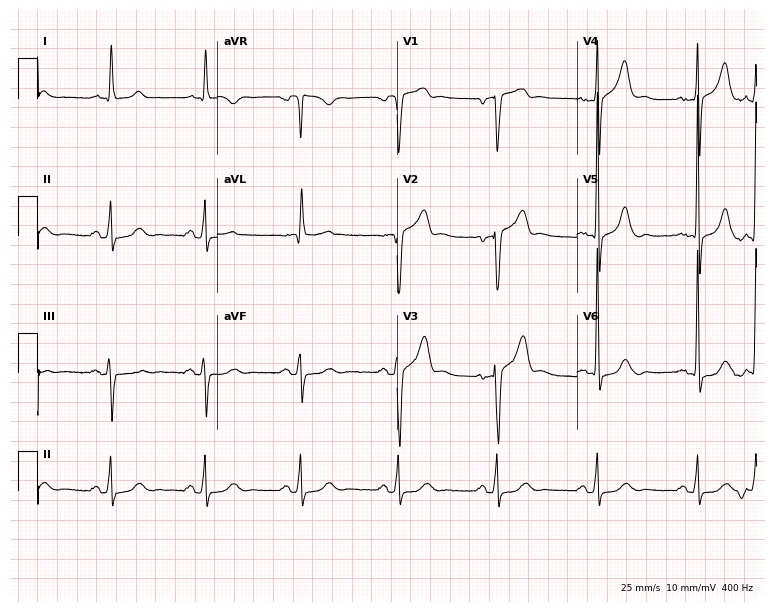
Electrocardiogram (7.3-second recording at 400 Hz), a man, 79 years old. Of the six screened findings (first-degree AV block, right bundle branch block, left bundle branch block, sinus bradycardia, atrial fibrillation, sinus tachycardia), none is recorded.